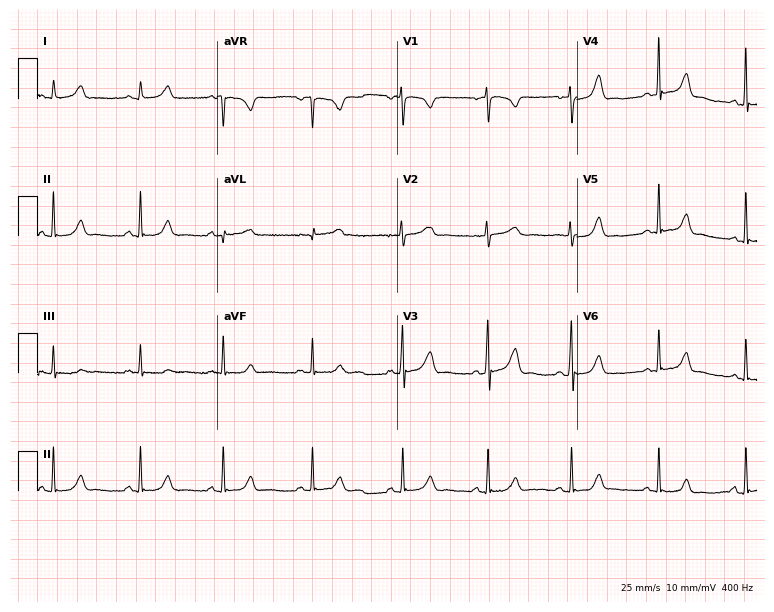
ECG (7.3-second recording at 400 Hz) — a female patient, 21 years old. Labelled as a normal ECG.